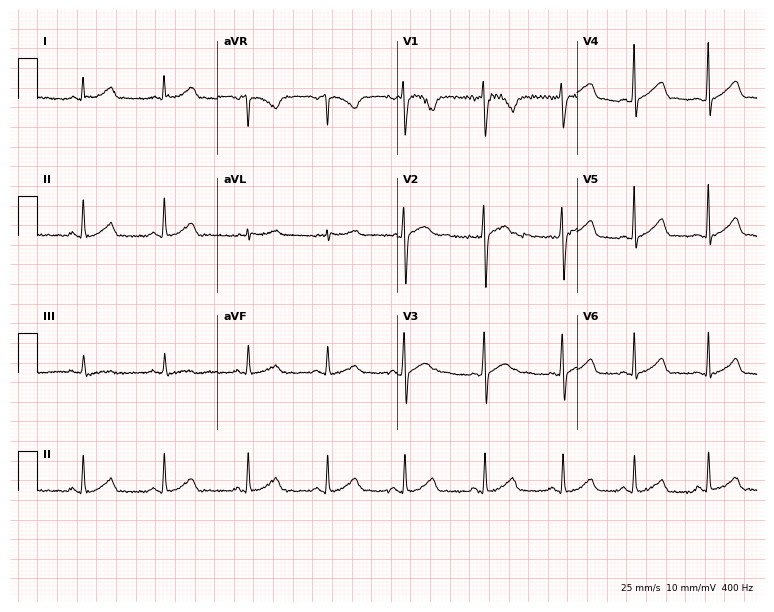
Resting 12-lead electrocardiogram. Patient: a woman, 34 years old. Read as a normal ECG.